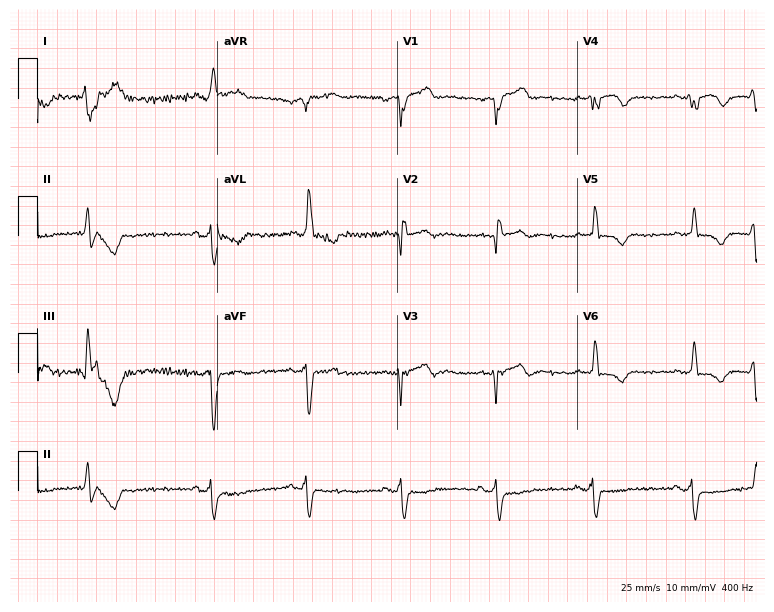
ECG (7.3-second recording at 400 Hz) — an 83-year-old male patient. Screened for six findings — first-degree AV block, right bundle branch block (RBBB), left bundle branch block (LBBB), sinus bradycardia, atrial fibrillation (AF), sinus tachycardia — none is recorded. Other findings, if any, are not listed.